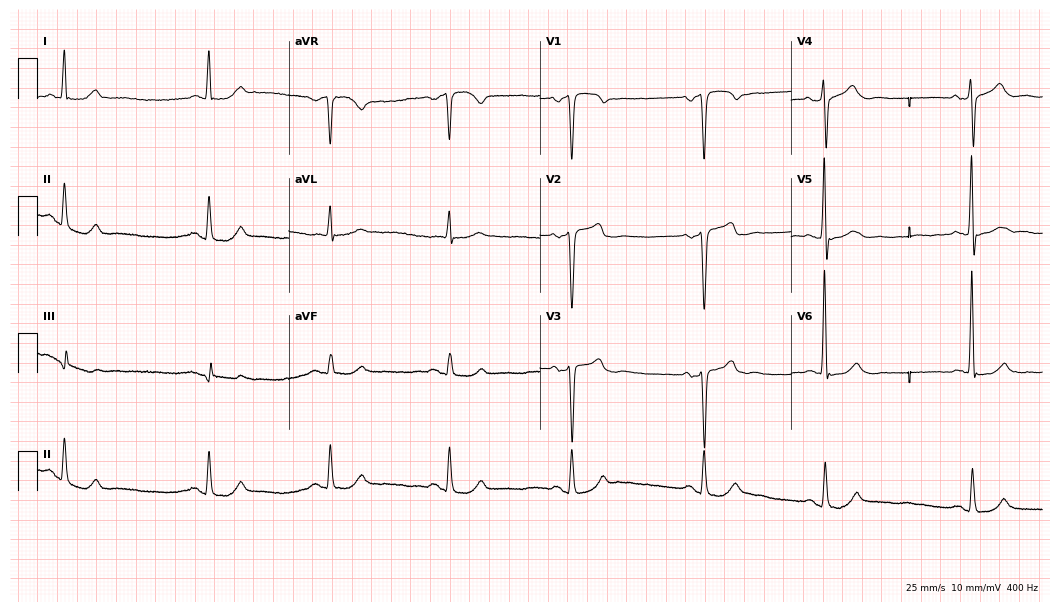
12-lead ECG (10.2-second recording at 400 Hz) from a 69-year-old male. Findings include sinus bradycardia (a sinus rate of 50 beats per minute or less).